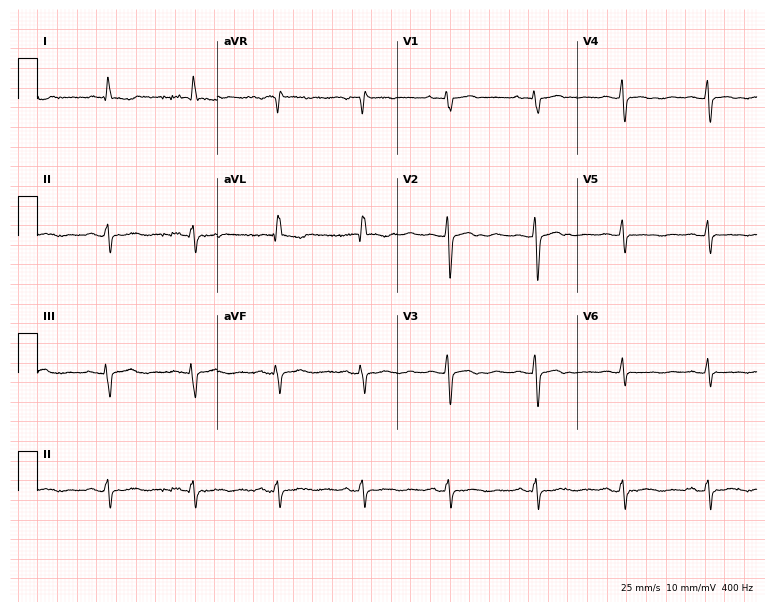
12-lead ECG from a 64-year-old female patient (7.3-second recording at 400 Hz). No first-degree AV block, right bundle branch block, left bundle branch block, sinus bradycardia, atrial fibrillation or sinus tachycardia recorded for this tracing. Findings outside these six are not listed.